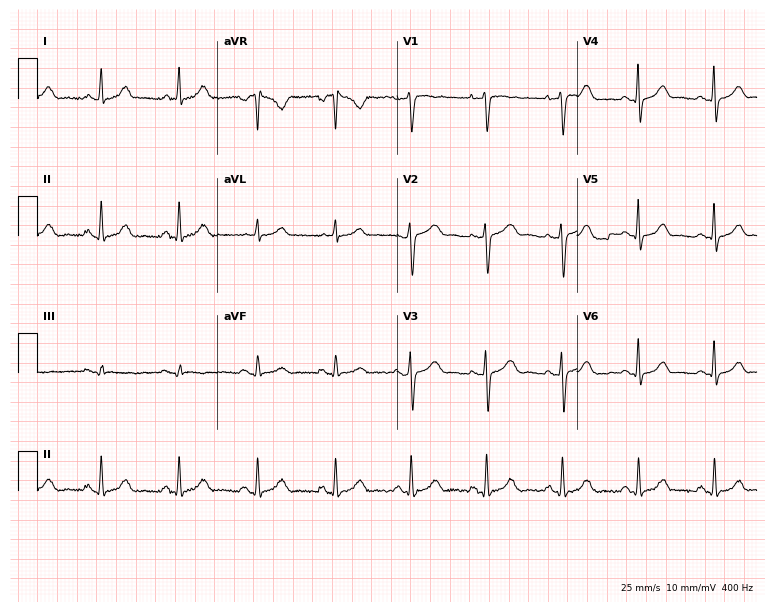
Standard 12-lead ECG recorded from a 48-year-old female. Read as a normal ECG.